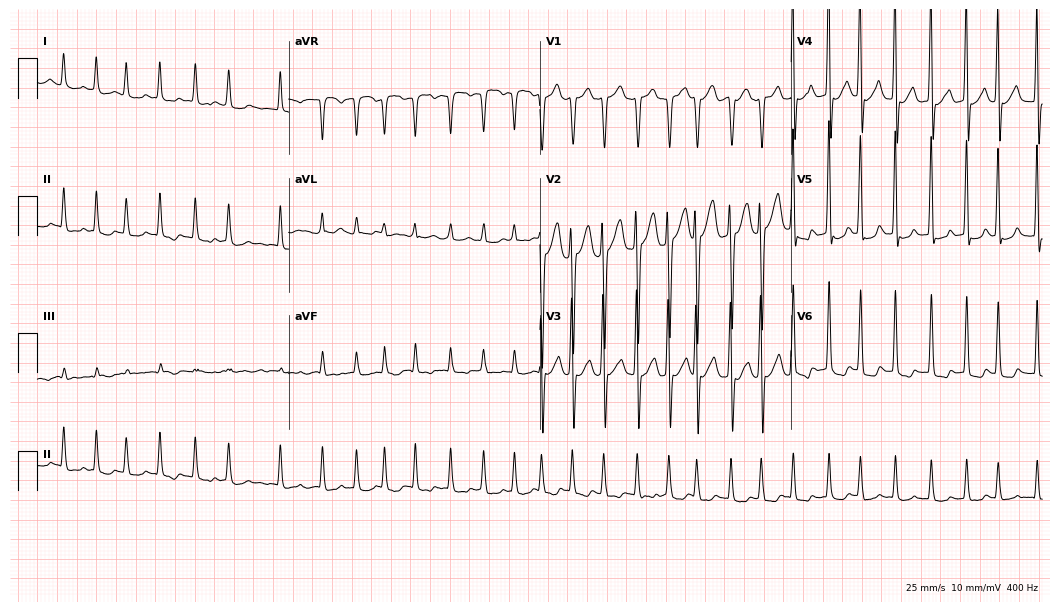
12-lead ECG from a 56-year-old male patient (10.2-second recording at 400 Hz). Shows atrial fibrillation.